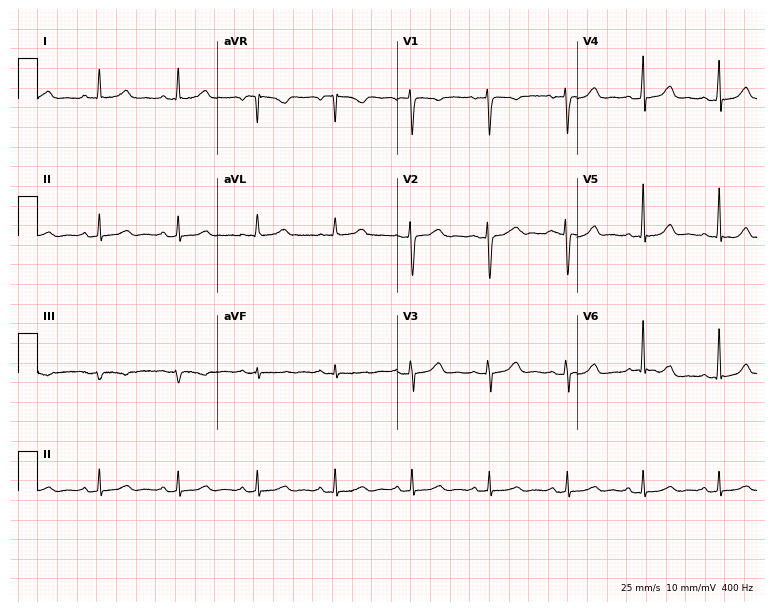
12-lead ECG from an 83-year-old female. Labelled as a normal ECG.